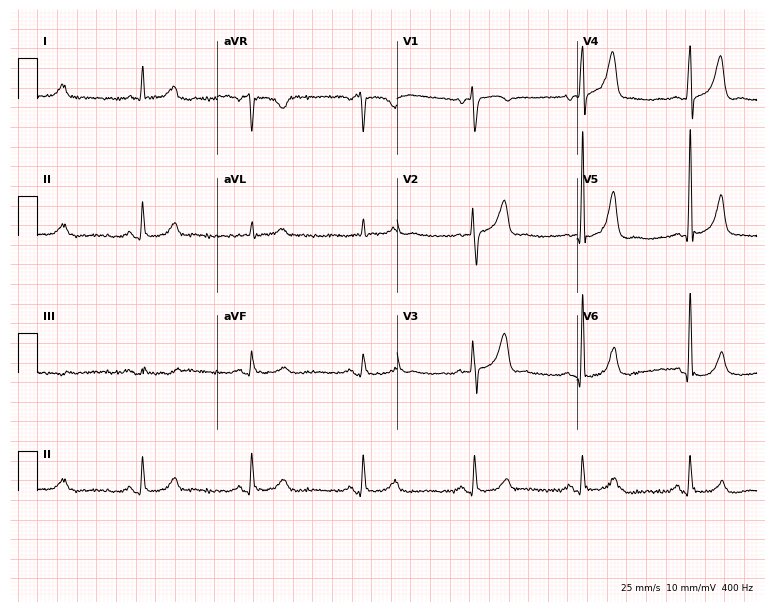
12-lead ECG from an 84-year-old male patient. Labelled as a normal ECG.